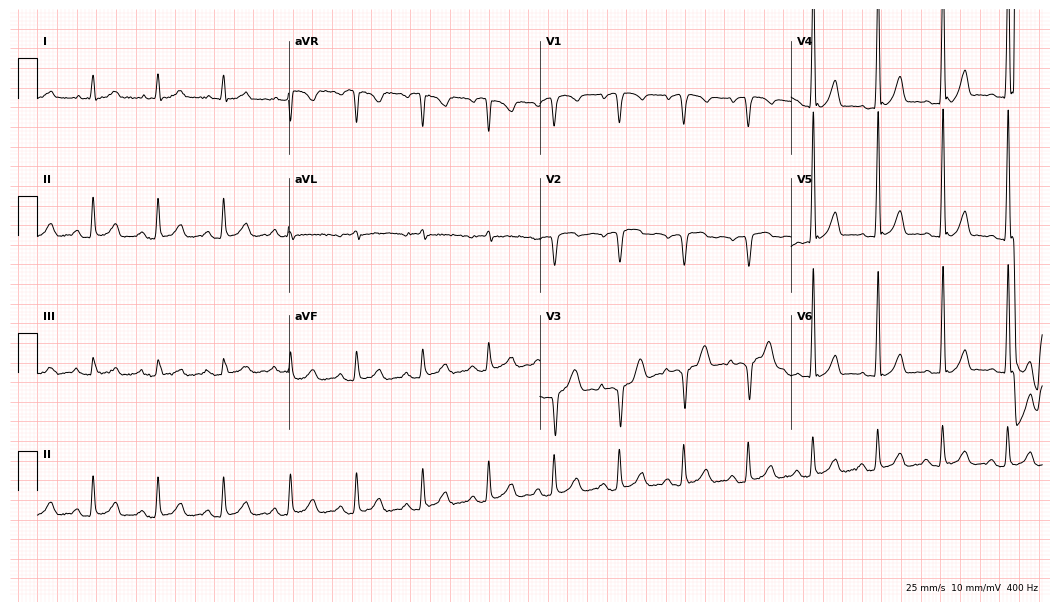
12-lead ECG from a 63-year-old male. Screened for six findings — first-degree AV block, right bundle branch block, left bundle branch block, sinus bradycardia, atrial fibrillation, sinus tachycardia — none is recorded.